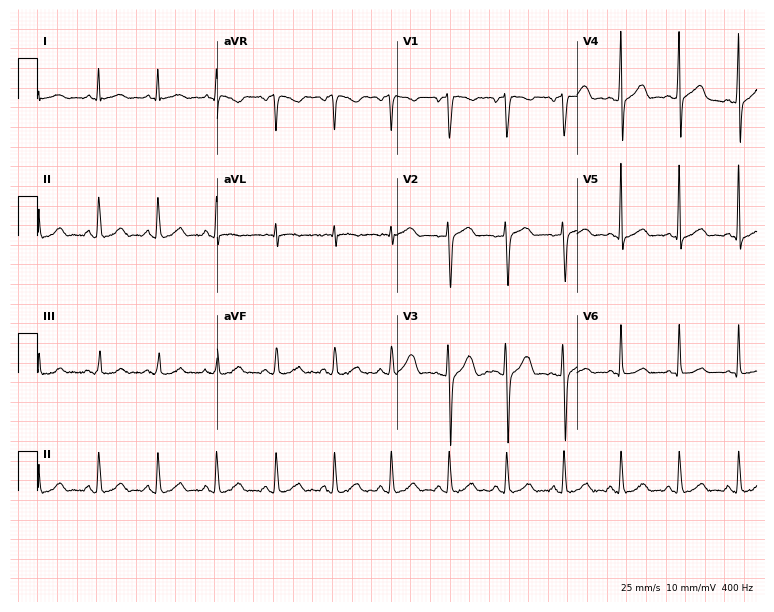
12-lead ECG from a 22-year-old male patient (7.3-second recording at 400 Hz). Recorded interpretation: within normal limits.